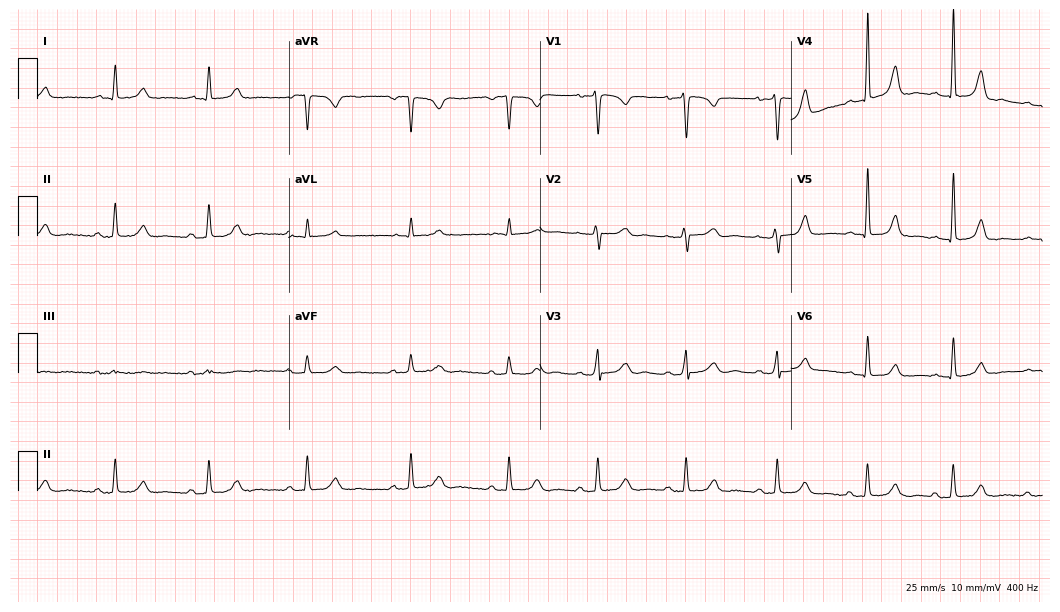
Electrocardiogram (10.2-second recording at 400 Hz), a 35-year-old woman. Overall reading on record: normal ECG.